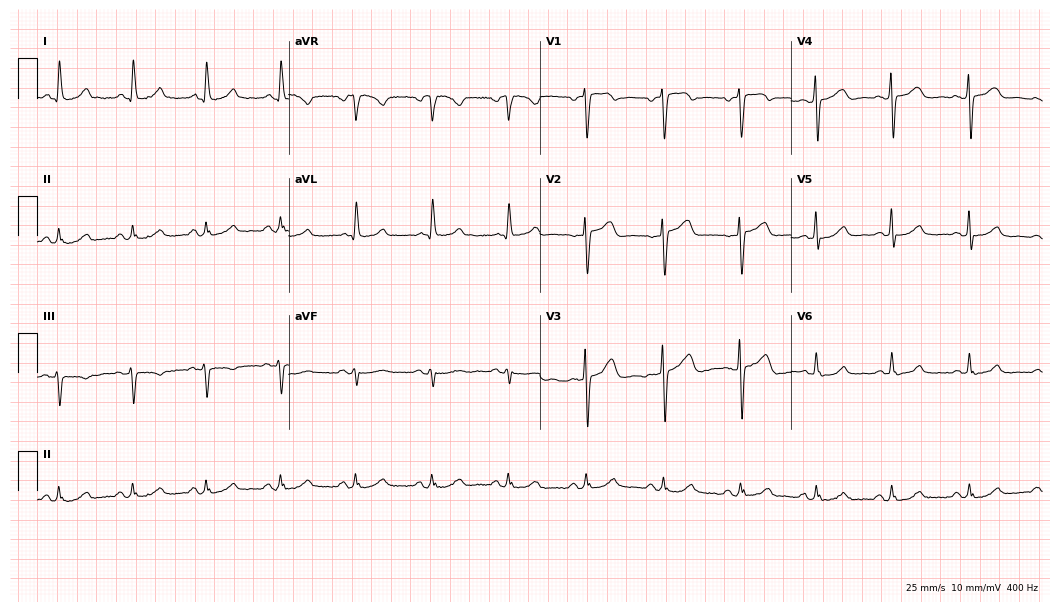
Electrocardiogram, a female, 58 years old. Of the six screened findings (first-degree AV block, right bundle branch block (RBBB), left bundle branch block (LBBB), sinus bradycardia, atrial fibrillation (AF), sinus tachycardia), none is recorded.